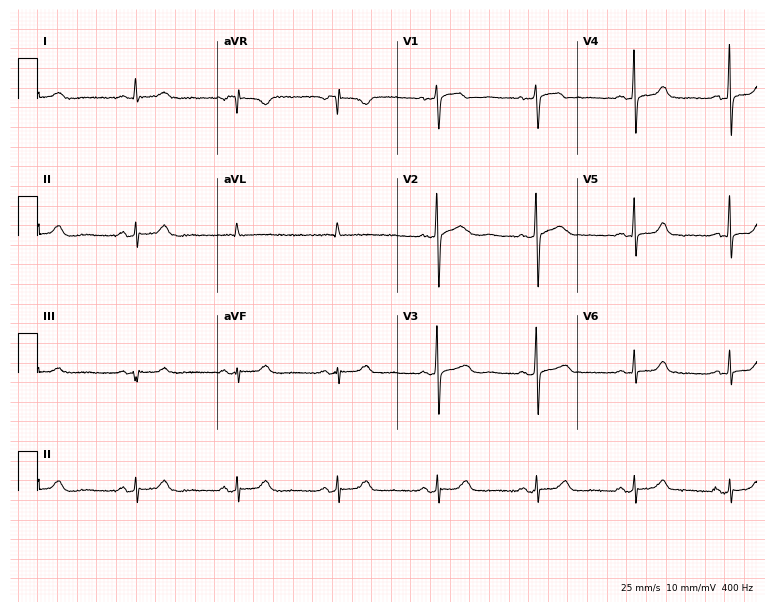
ECG — a female patient, 62 years old. Labelled as a normal ECG.